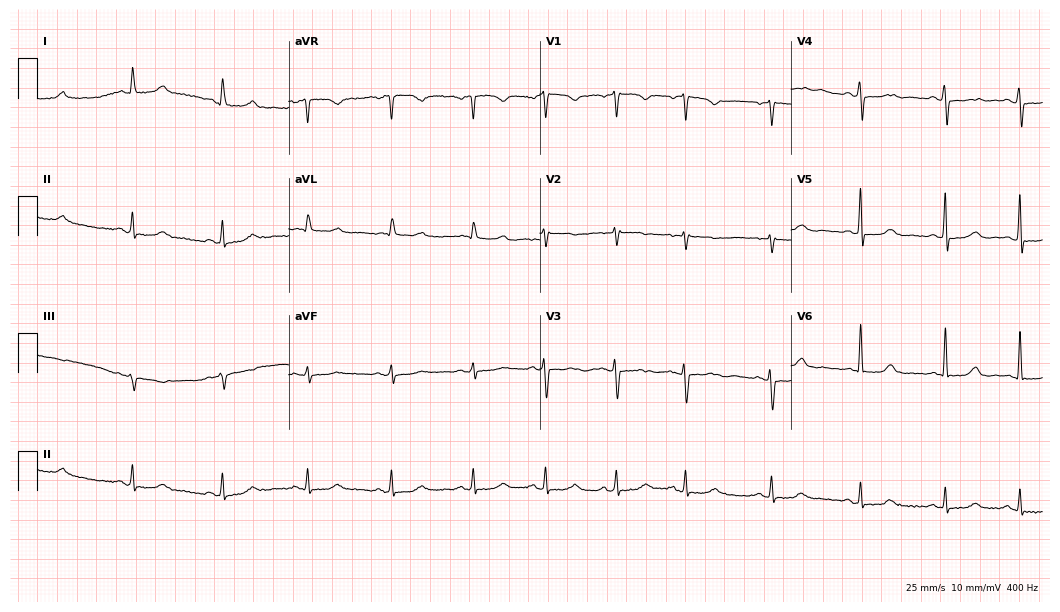
Standard 12-lead ECG recorded from a 47-year-old woman. Read as a normal ECG.